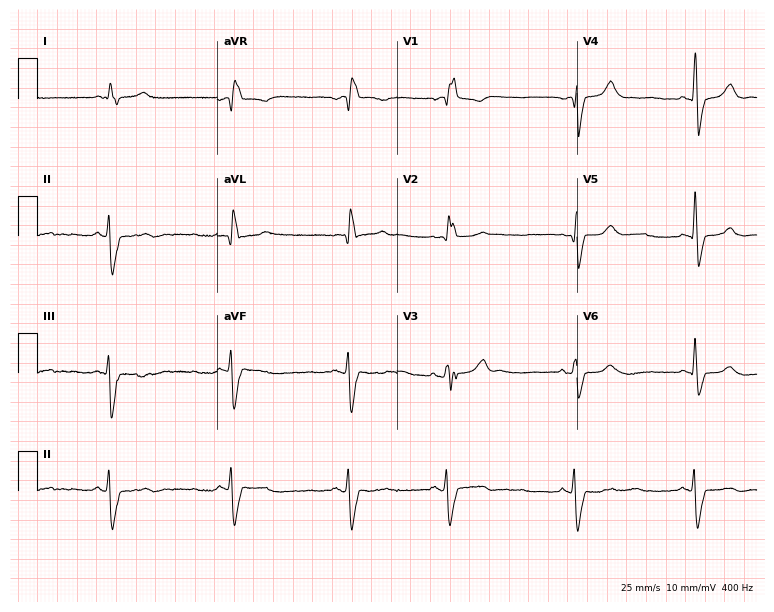
ECG (7.3-second recording at 400 Hz) — a male patient, 78 years old. Findings include right bundle branch block (RBBB).